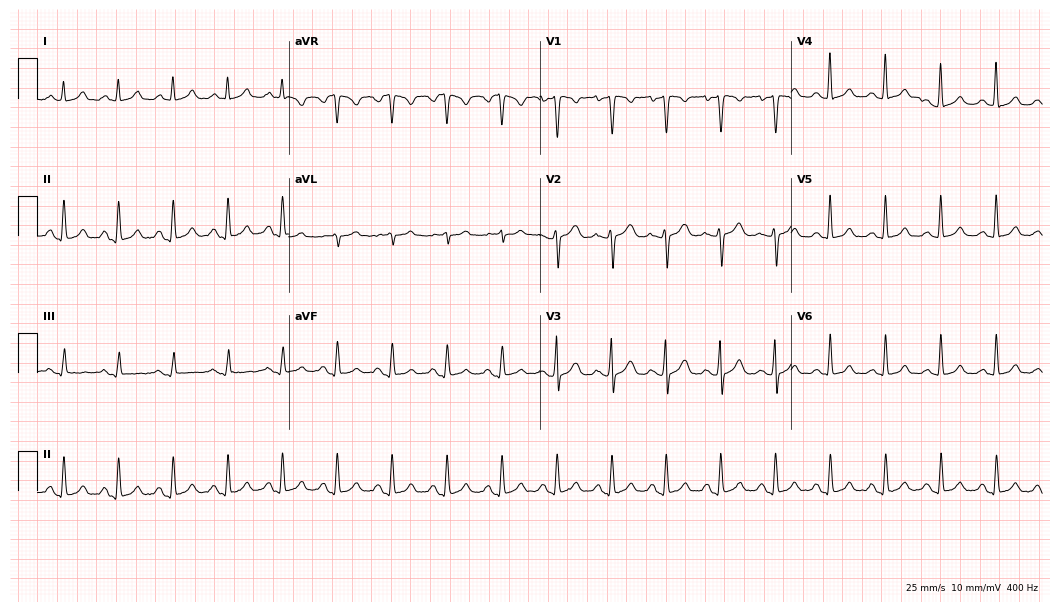
ECG — a woman, 35 years old. Findings include sinus tachycardia (a sinus rate of 100 beats per minute or more).